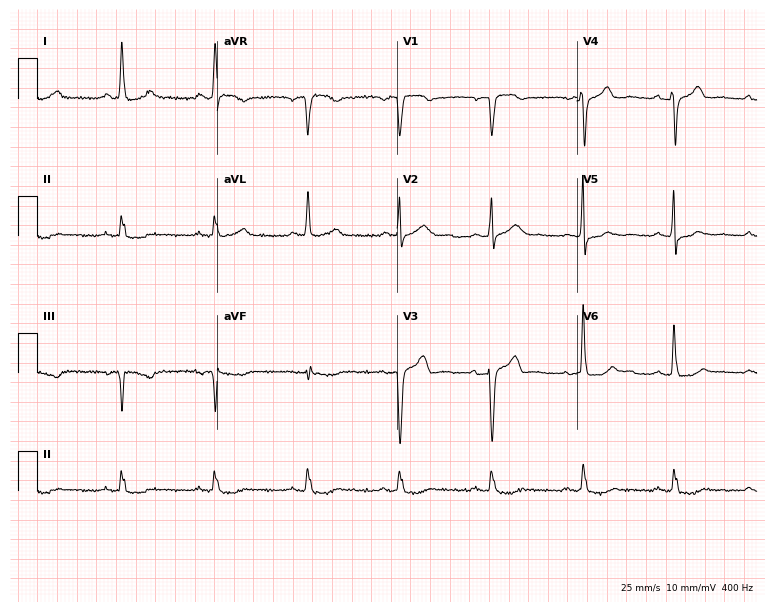
Resting 12-lead electrocardiogram. Patient: a male, 78 years old. None of these six findings is recorded: first-degree AV block, right bundle branch block, left bundle branch block, sinus bradycardia, atrial fibrillation, sinus tachycardia. Only these six findings were labelled.